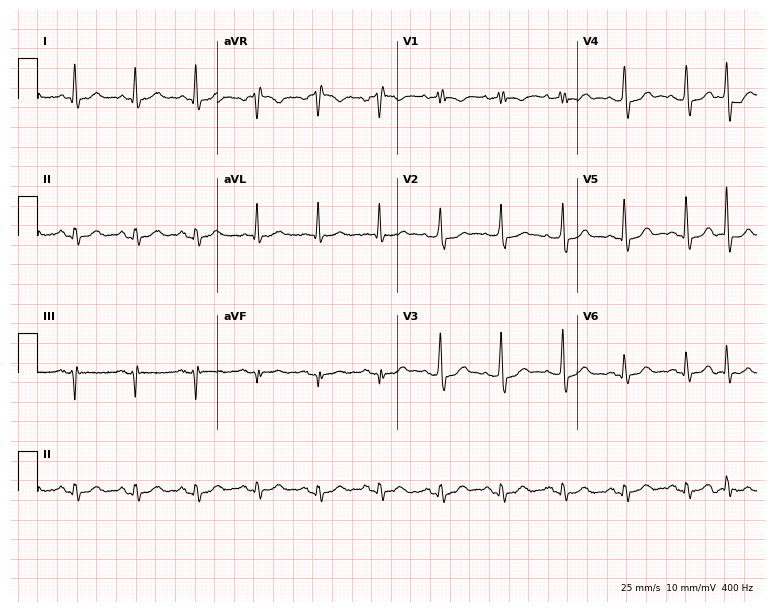
Electrocardiogram, a man, 76 years old. Of the six screened findings (first-degree AV block, right bundle branch block (RBBB), left bundle branch block (LBBB), sinus bradycardia, atrial fibrillation (AF), sinus tachycardia), none is recorded. Other findings, if any, are not listed.